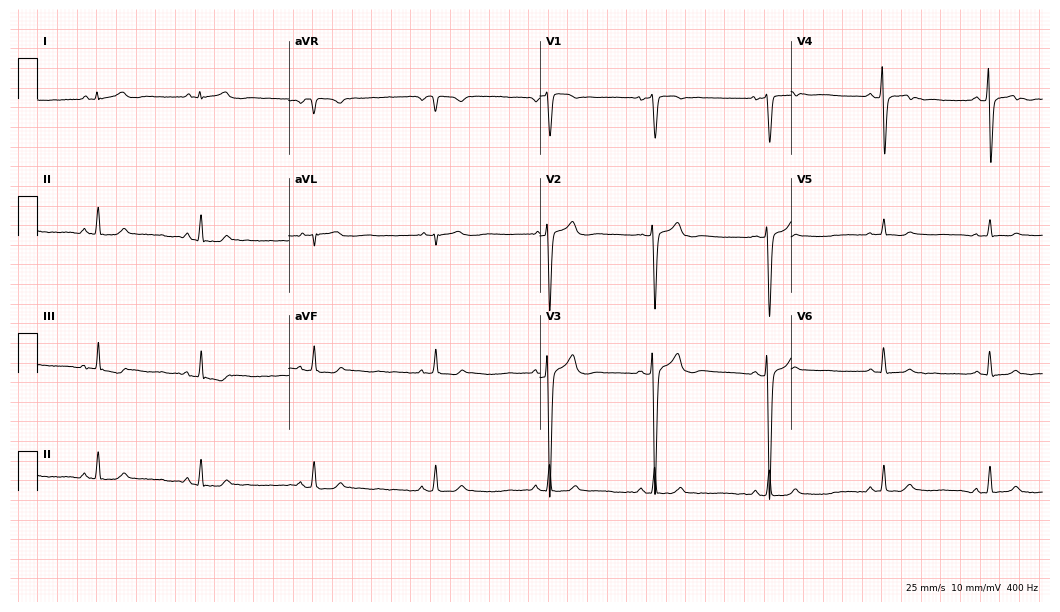
Standard 12-lead ECG recorded from a 32-year-old man. None of these six findings is recorded: first-degree AV block, right bundle branch block (RBBB), left bundle branch block (LBBB), sinus bradycardia, atrial fibrillation (AF), sinus tachycardia.